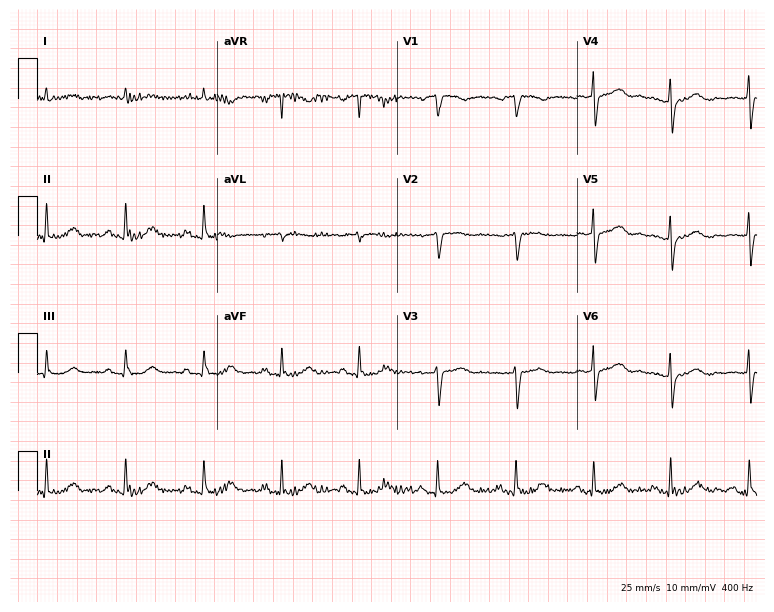
Electrocardiogram (7.3-second recording at 400 Hz), an 82-year-old male patient. Of the six screened findings (first-degree AV block, right bundle branch block, left bundle branch block, sinus bradycardia, atrial fibrillation, sinus tachycardia), none is recorded.